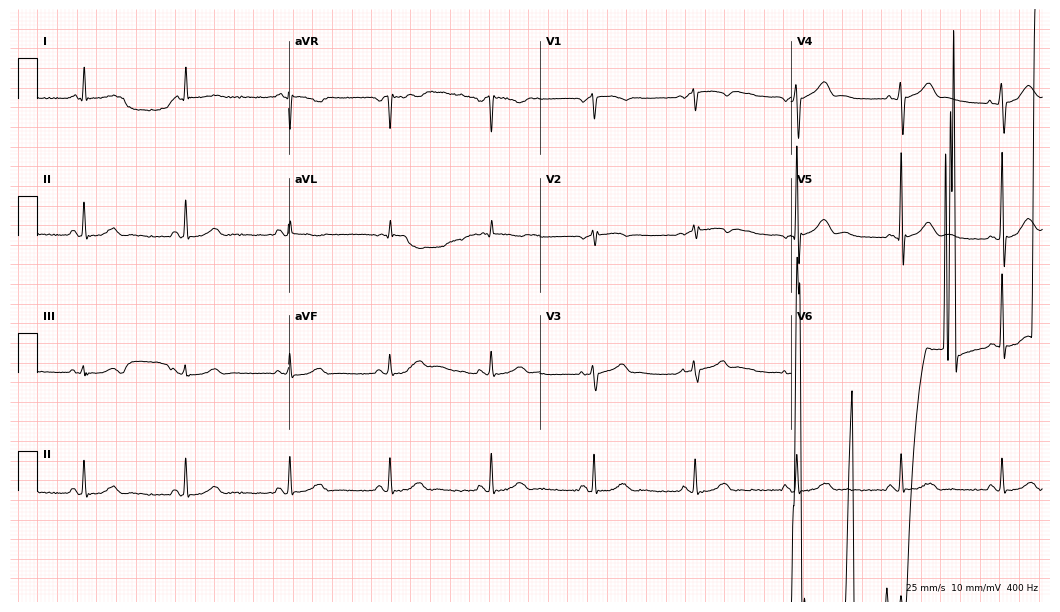
ECG — a male, 82 years old. Screened for six findings — first-degree AV block, right bundle branch block, left bundle branch block, sinus bradycardia, atrial fibrillation, sinus tachycardia — none is recorded.